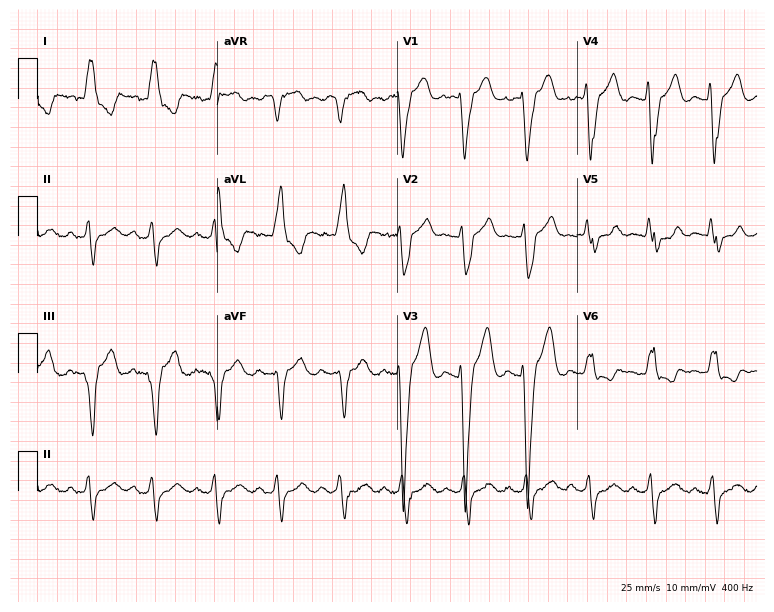
12-lead ECG from a female, 84 years old. Shows left bundle branch block.